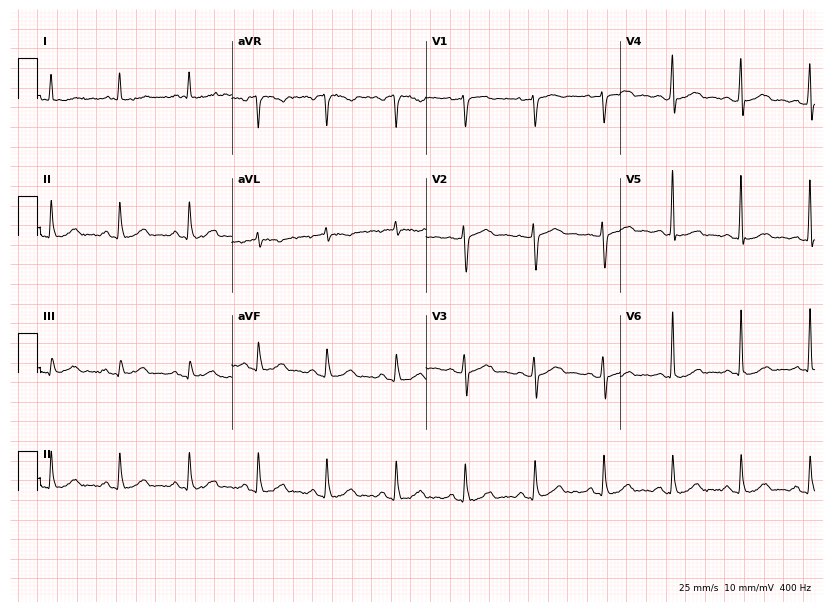
ECG — a 67-year-old male. Labelled as a normal ECG.